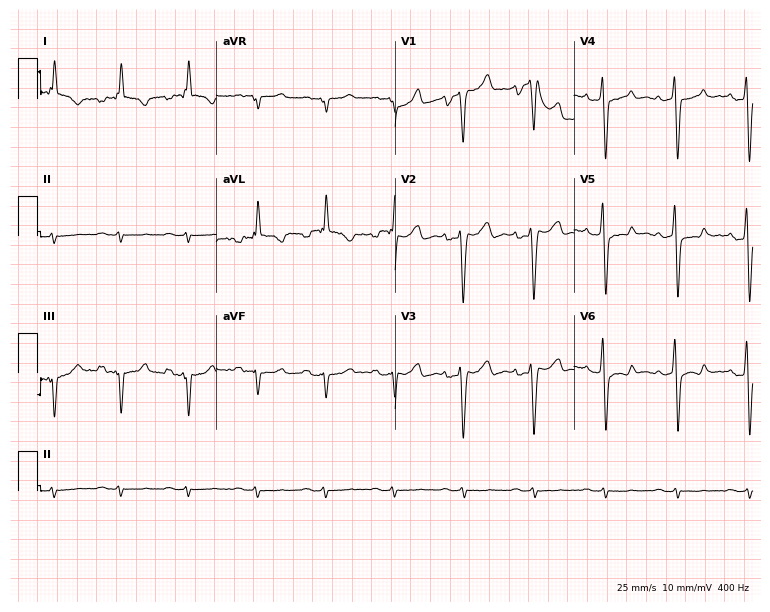
Electrocardiogram (7.3-second recording at 400 Hz), a 43-year-old man. Of the six screened findings (first-degree AV block, right bundle branch block, left bundle branch block, sinus bradycardia, atrial fibrillation, sinus tachycardia), none is recorded. Only these six findings were labelled.